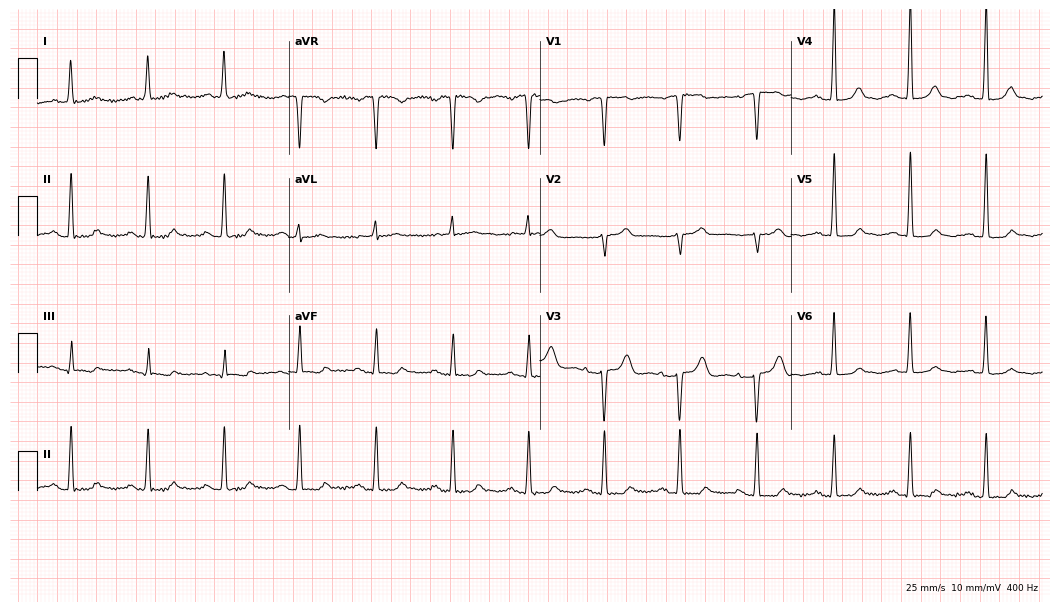
Electrocardiogram, a woman, 68 years old. Of the six screened findings (first-degree AV block, right bundle branch block, left bundle branch block, sinus bradycardia, atrial fibrillation, sinus tachycardia), none is recorded.